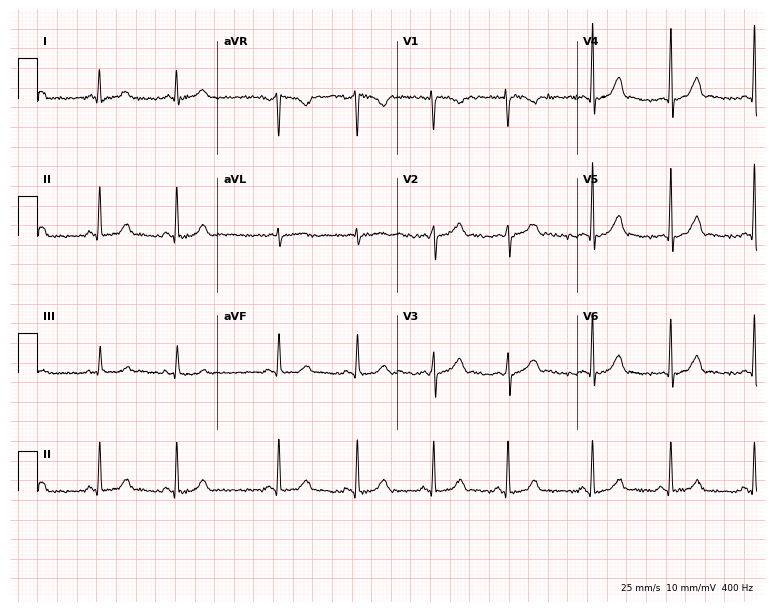
ECG (7.3-second recording at 400 Hz) — a female, 34 years old. Labelled as a normal ECG.